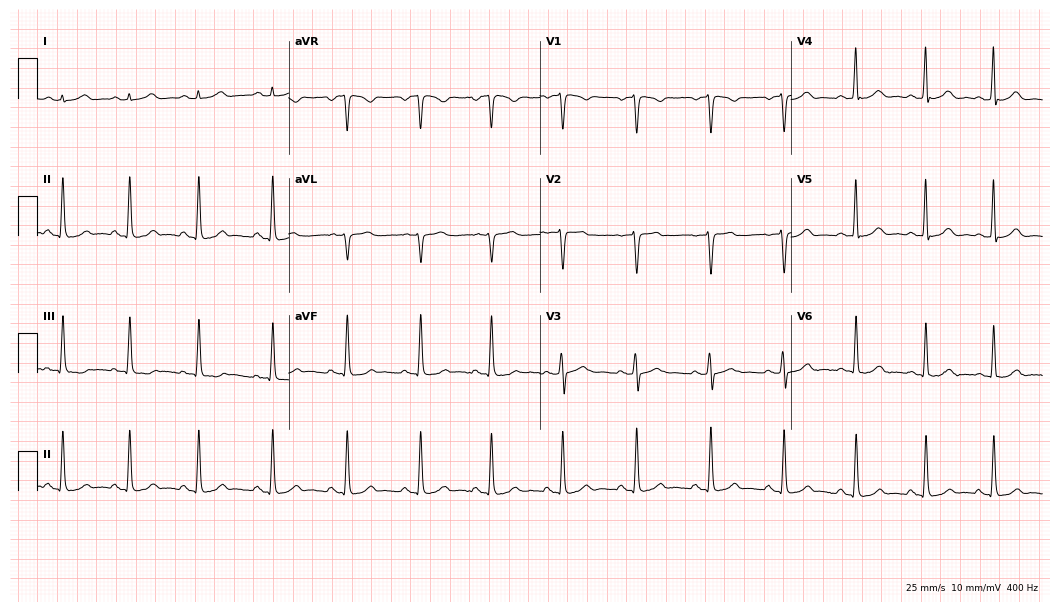
ECG (10.2-second recording at 400 Hz) — a 32-year-old female. Labelled as a normal ECG.